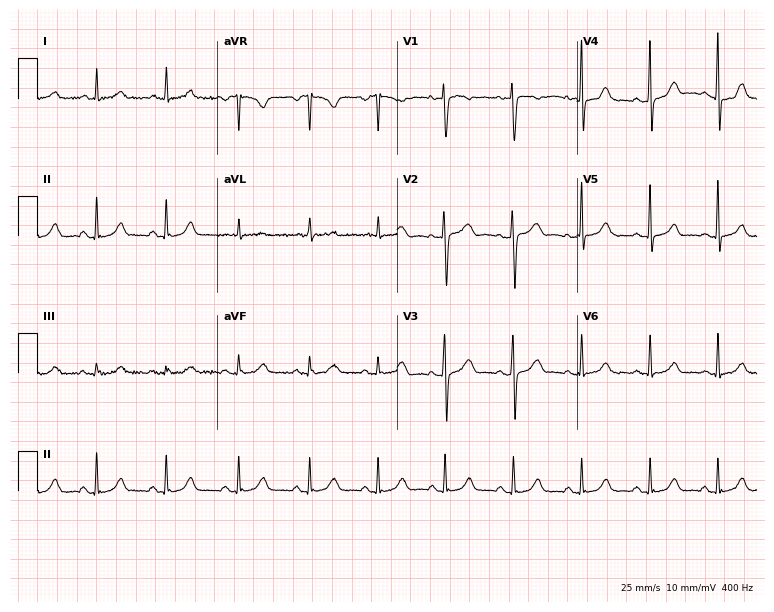
12-lead ECG from a 34-year-old female. Labelled as a normal ECG.